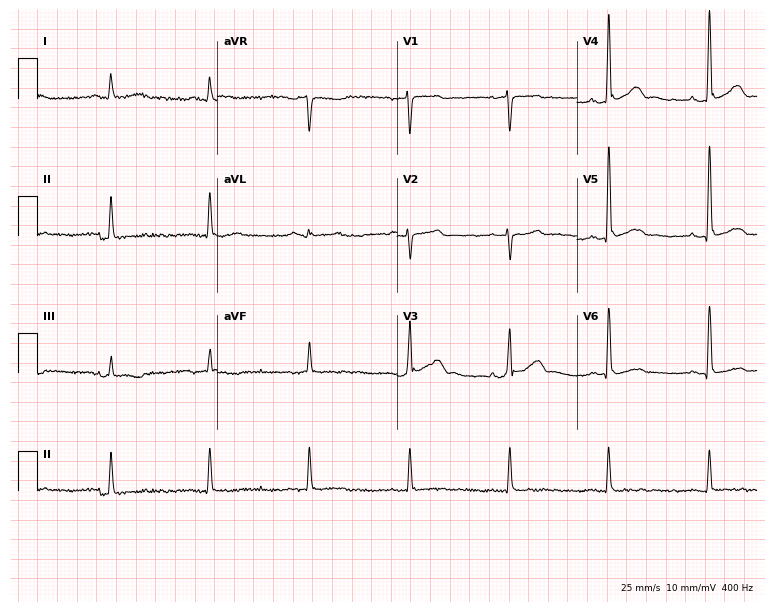
12-lead ECG from a woman, 54 years old. No first-degree AV block, right bundle branch block, left bundle branch block, sinus bradycardia, atrial fibrillation or sinus tachycardia recorded for this tracing. Only these six findings were labelled.